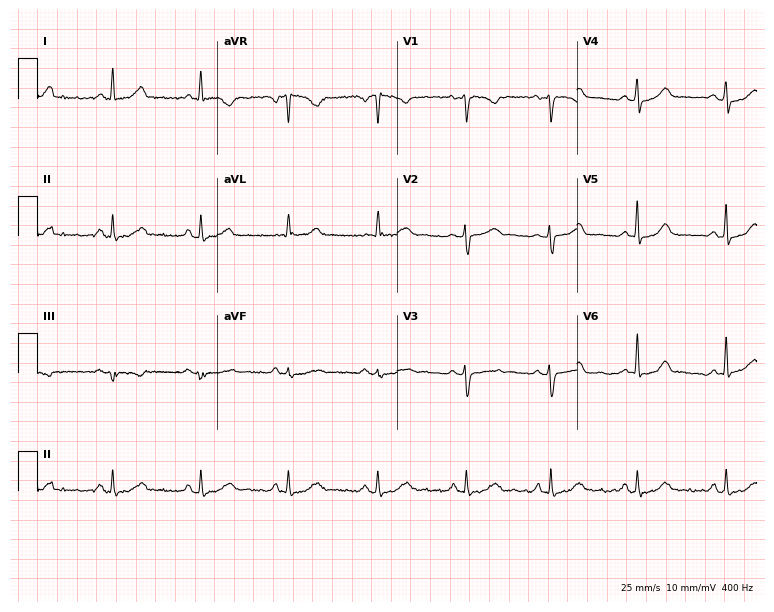
12-lead ECG (7.3-second recording at 400 Hz) from a female patient, 40 years old. Labelled as a normal ECG.